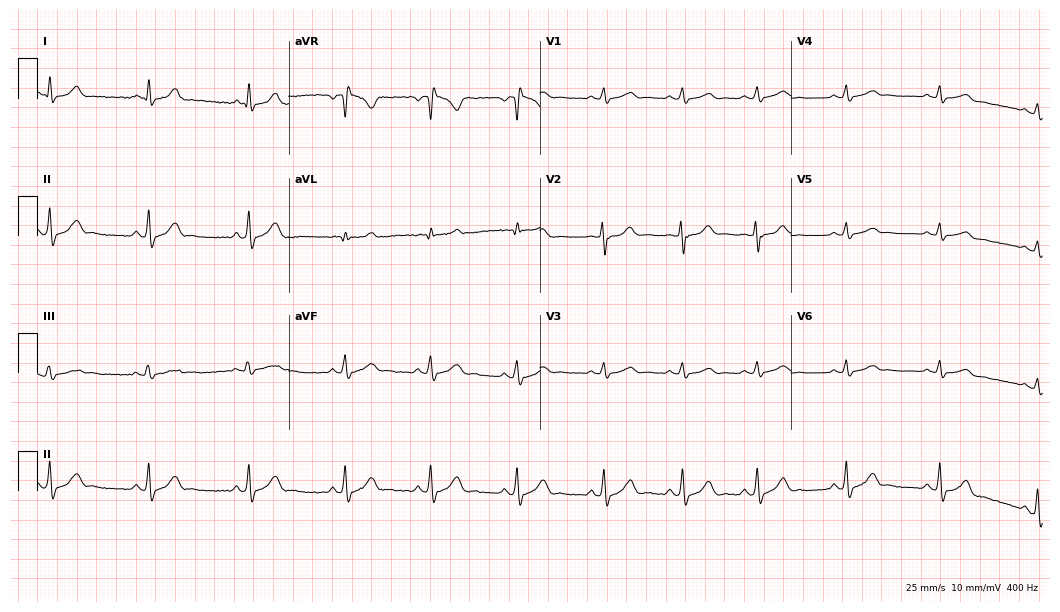
12-lead ECG from a 24-year-old man. No first-degree AV block, right bundle branch block, left bundle branch block, sinus bradycardia, atrial fibrillation or sinus tachycardia recorded for this tracing.